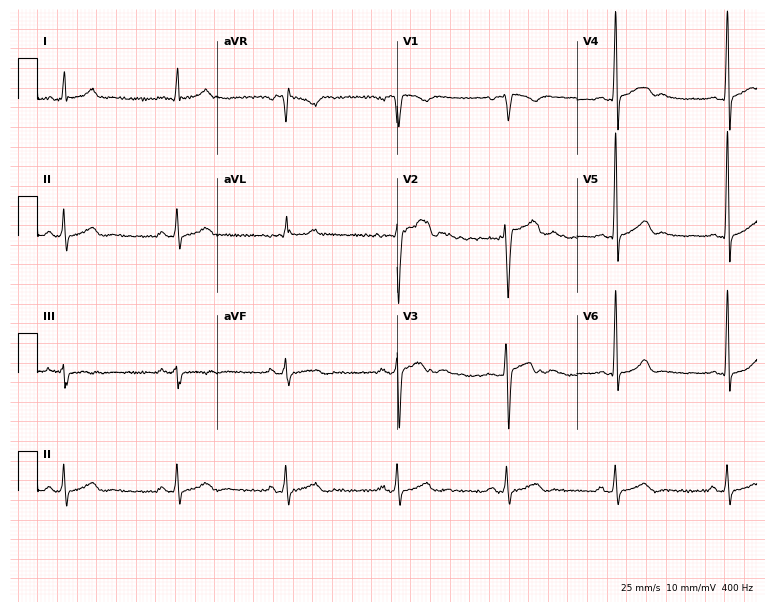
Standard 12-lead ECG recorded from a male, 24 years old. Read as a normal ECG.